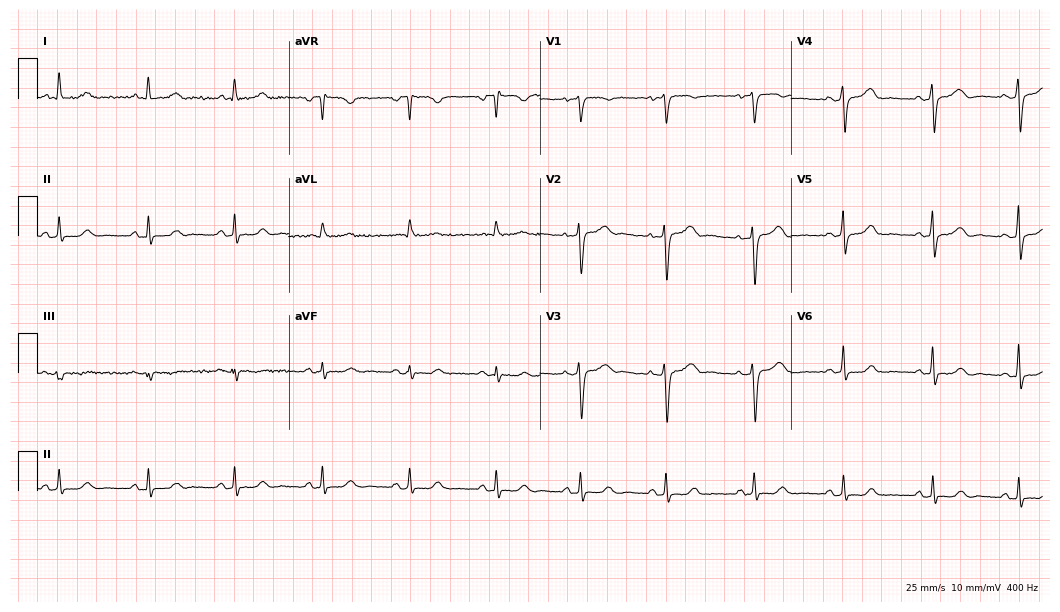
ECG (10.2-second recording at 400 Hz) — a female, 59 years old. Labelled as a normal ECG.